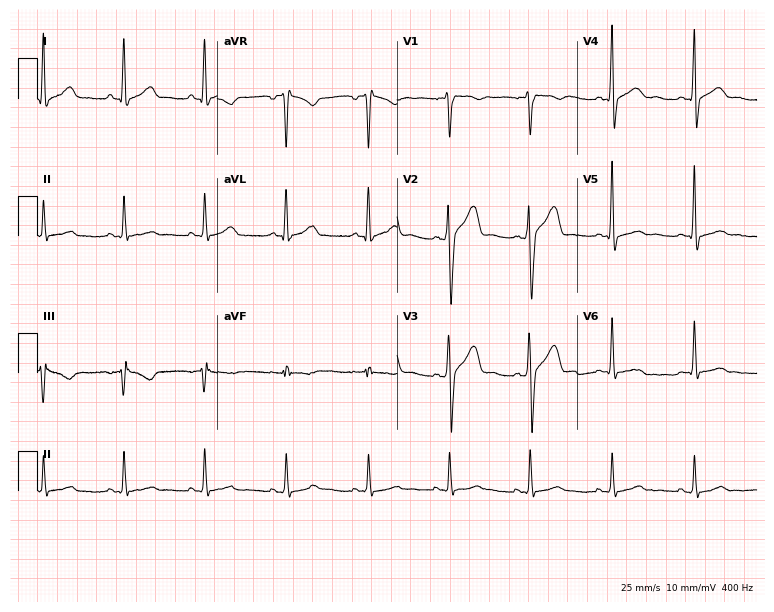
Resting 12-lead electrocardiogram (7.3-second recording at 400 Hz). Patient: a 50-year-old male. None of these six findings is recorded: first-degree AV block, right bundle branch block, left bundle branch block, sinus bradycardia, atrial fibrillation, sinus tachycardia. Only these six findings were labelled.